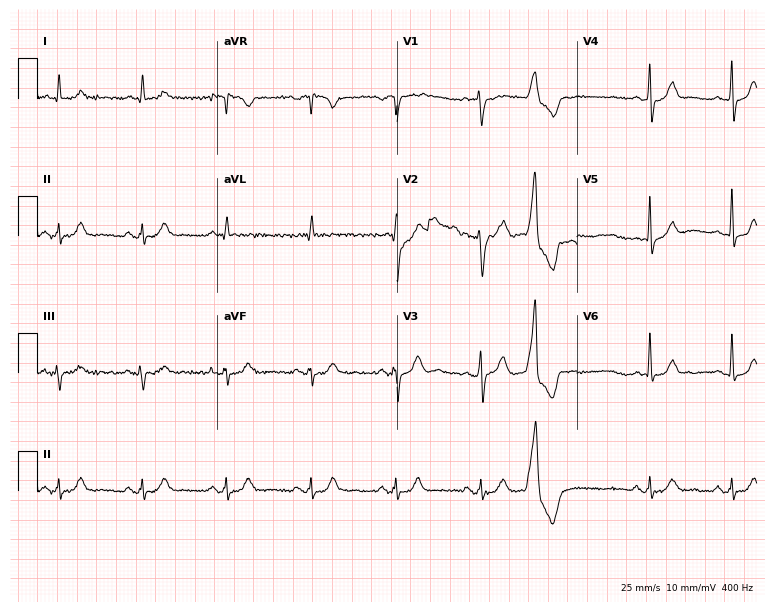
Standard 12-lead ECG recorded from a 68-year-old man. None of these six findings is recorded: first-degree AV block, right bundle branch block (RBBB), left bundle branch block (LBBB), sinus bradycardia, atrial fibrillation (AF), sinus tachycardia.